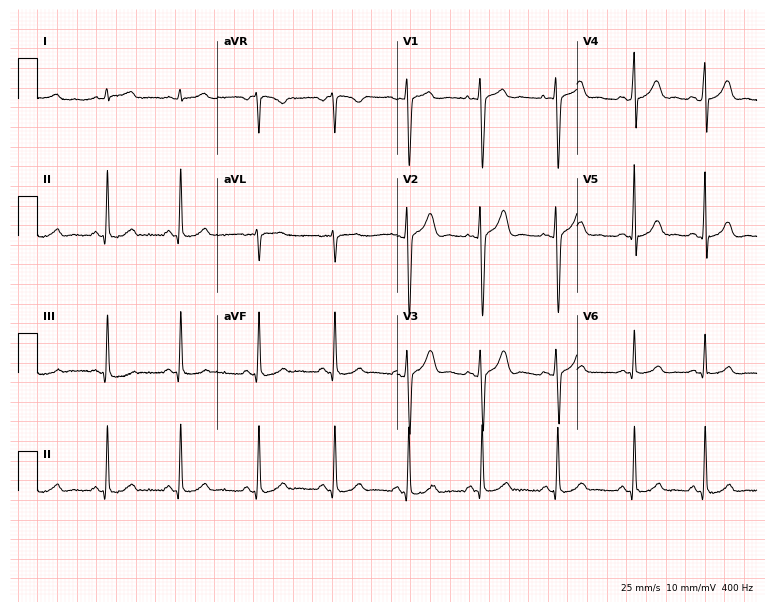
ECG — a 26-year-old female patient. Labelled as a normal ECG.